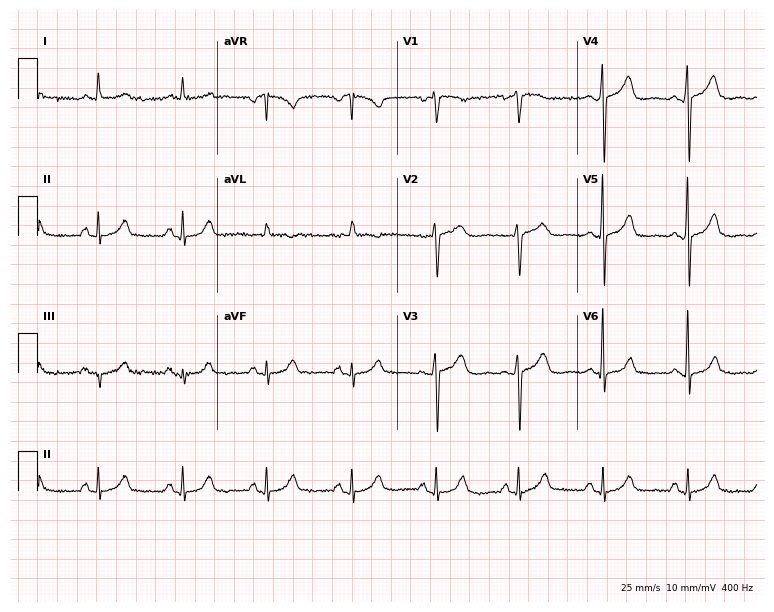
12-lead ECG from a woman, 80 years old. Screened for six findings — first-degree AV block, right bundle branch block (RBBB), left bundle branch block (LBBB), sinus bradycardia, atrial fibrillation (AF), sinus tachycardia — none is recorded.